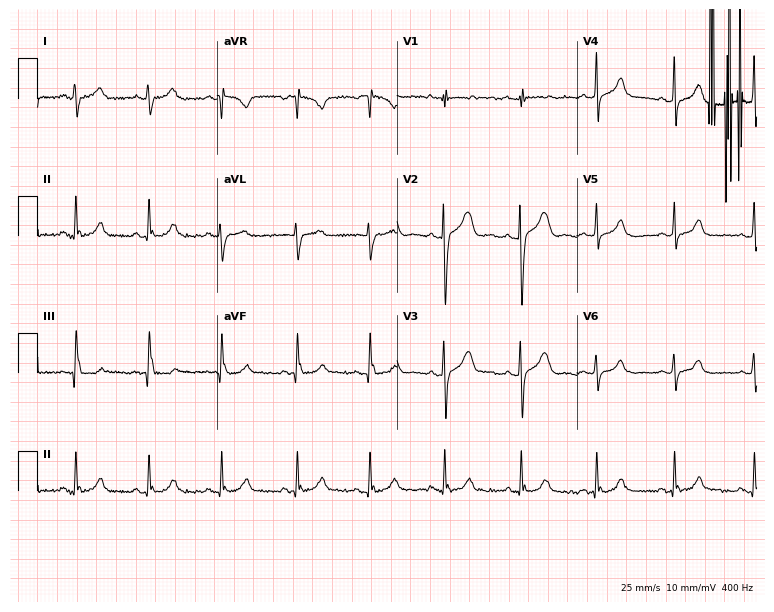
12-lead ECG from a 27-year-old female. No first-degree AV block, right bundle branch block, left bundle branch block, sinus bradycardia, atrial fibrillation or sinus tachycardia recorded for this tracing. Findings outside these six are not listed.